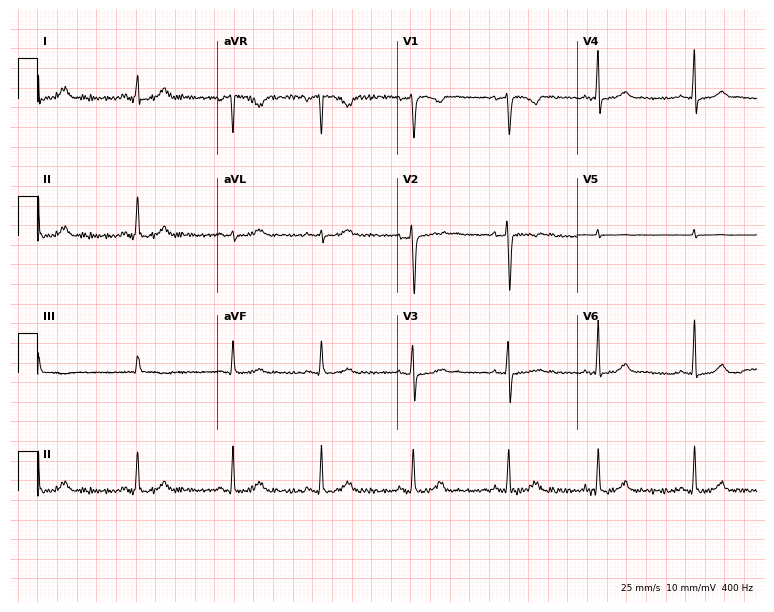
12-lead ECG from a woman, 25 years old. Labelled as a normal ECG.